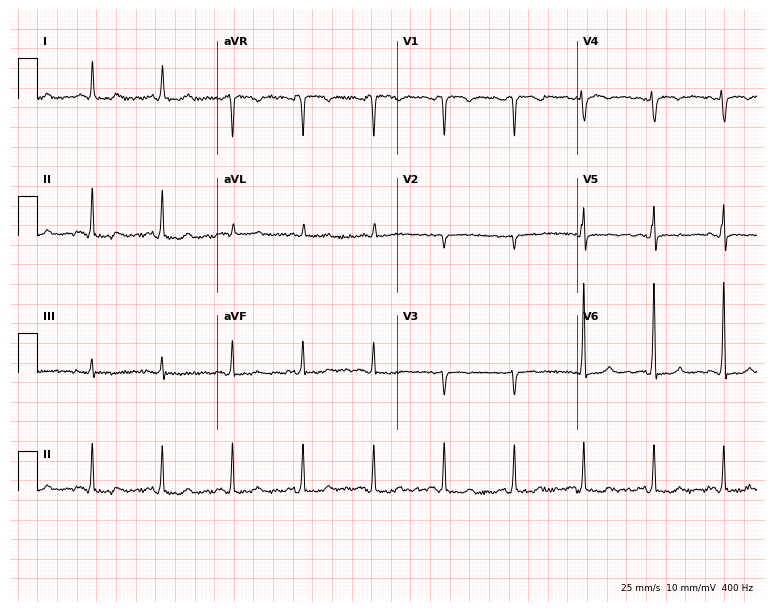
Electrocardiogram (7.3-second recording at 400 Hz), a 47-year-old woman. Of the six screened findings (first-degree AV block, right bundle branch block, left bundle branch block, sinus bradycardia, atrial fibrillation, sinus tachycardia), none is recorded.